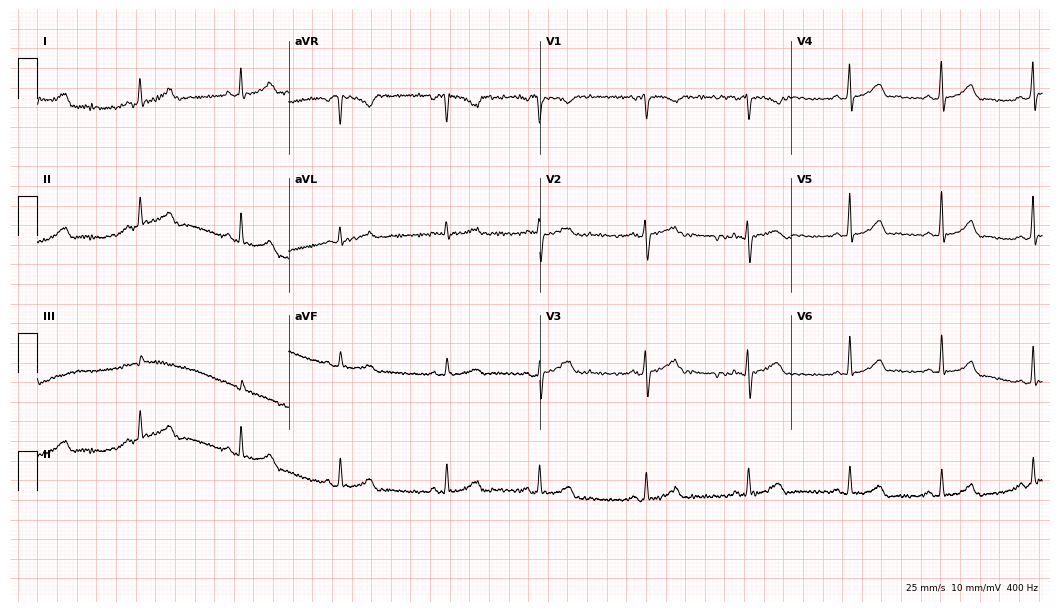
12-lead ECG from a 25-year-old female (10.2-second recording at 400 Hz). Recorded interpretation: within normal limits.